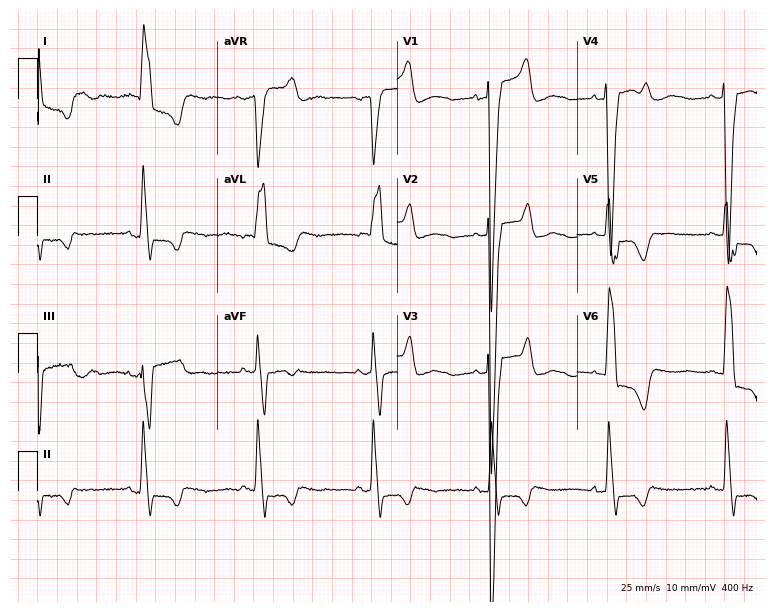
Resting 12-lead electrocardiogram. Patient: an 80-year-old woman. None of these six findings is recorded: first-degree AV block, right bundle branch block (RBBB), left bundle branch block (LBBB), sinus bradycardia, atrial fibrillation (AF), sinus tachycardia. Only these six findings were labelled.